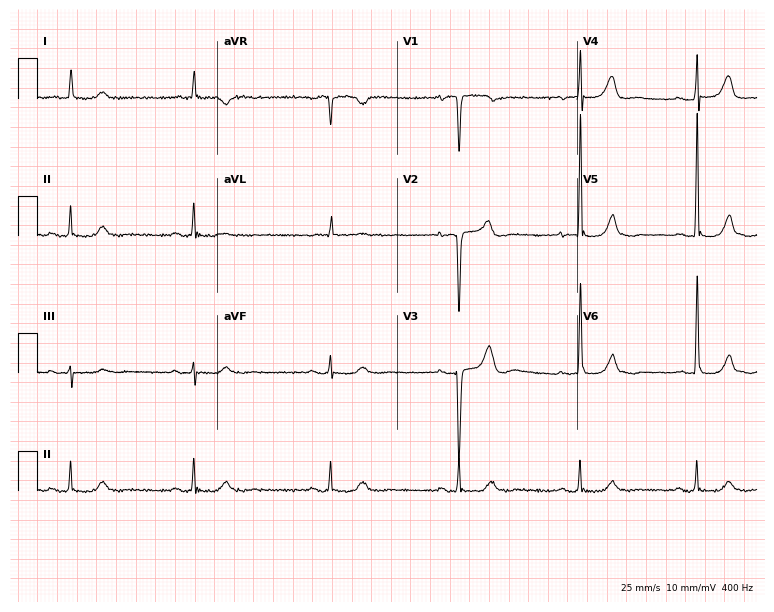
Standard 12-lead ECG recorded from a 74-year-old male (7.3-second recording at 400 Hz). The tracing shows sinus bradycardia (a sinus rate of 50 beats per minute or less).